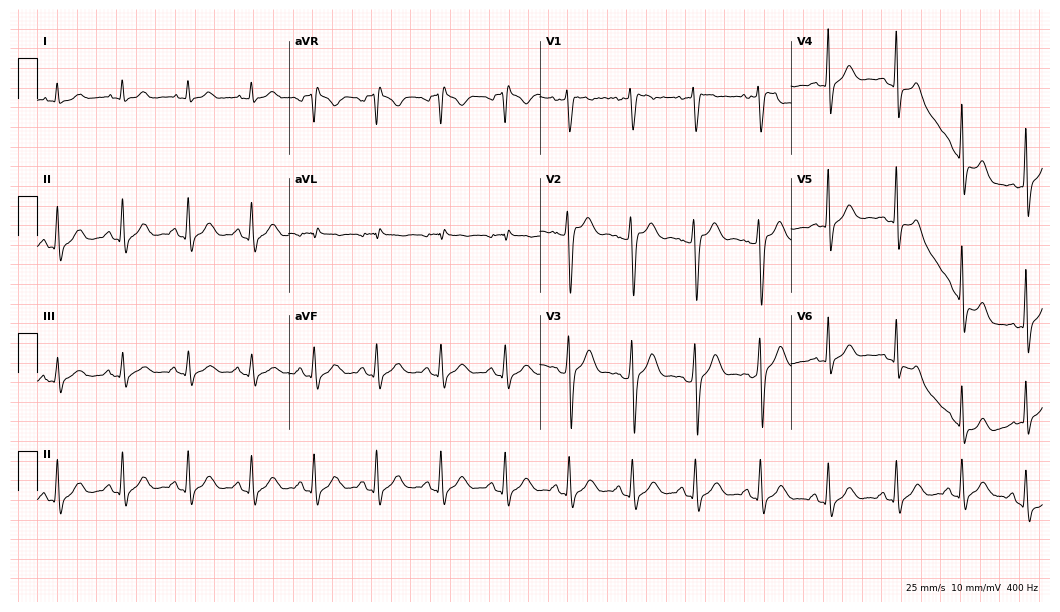
12-lead ECG from a 25-year-old male. Screened for six findings — first-degree AV block, right bundle branch block (RBBB), left bundle branch block (LBBB), sinus bradycardia, atrial fibrillation (AF), sinus tachycardia — none is recorded. Other findings, if any, are not listed.